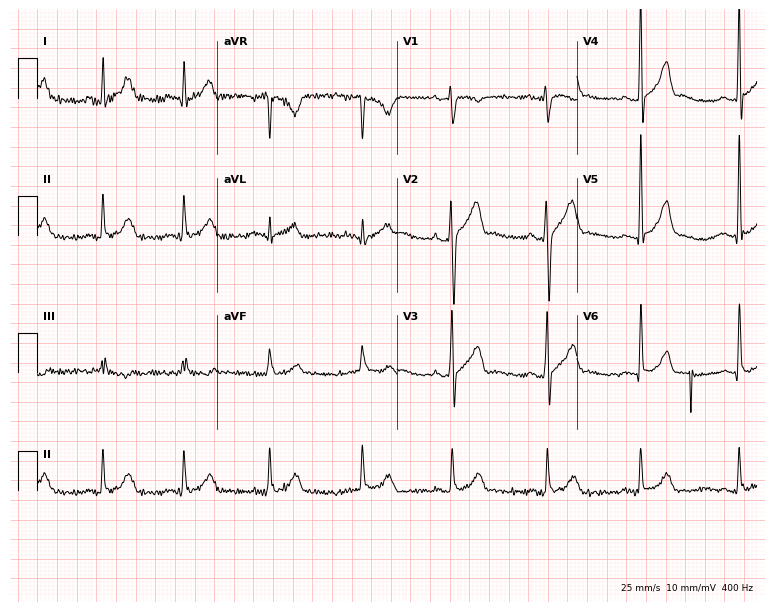
Electrocardiogram (7.3-second recording at 400 Hz), a 29-year-old male patient. Of the six screened findings (first-degree AV block, right bundle branch block (RBBB), left bundle branch block (LBBB), sinus bradycardia, atrial fibrillation (AF), sinus tachycardia), none is recorded.